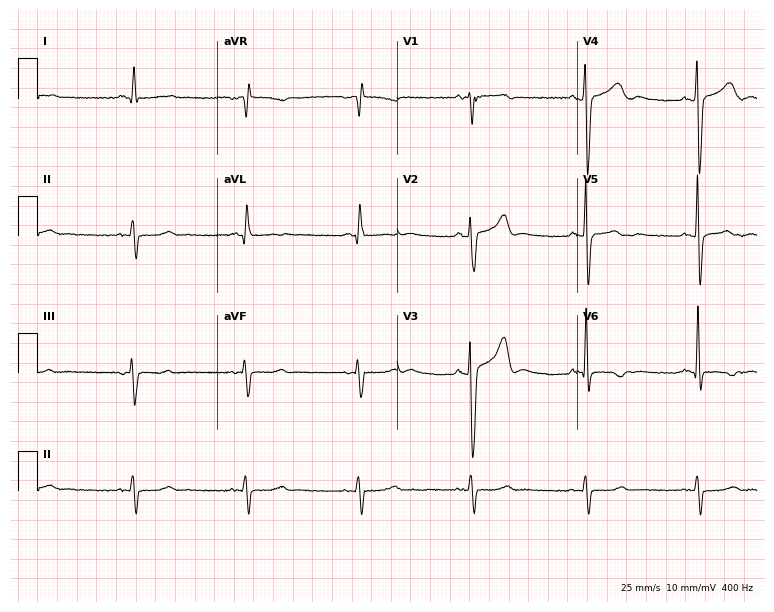
Resting 12-lead electrocardiogram (7.3-second recording at 400 Hz). Patient: a male, 57 years old. None of these six findings is recorded: first-degree AV block, right bundle branch block, left bundle branch block, sinus bradycardia, atrial fibrillation, sinus tachycardia. Other findings, if any, are not listed.